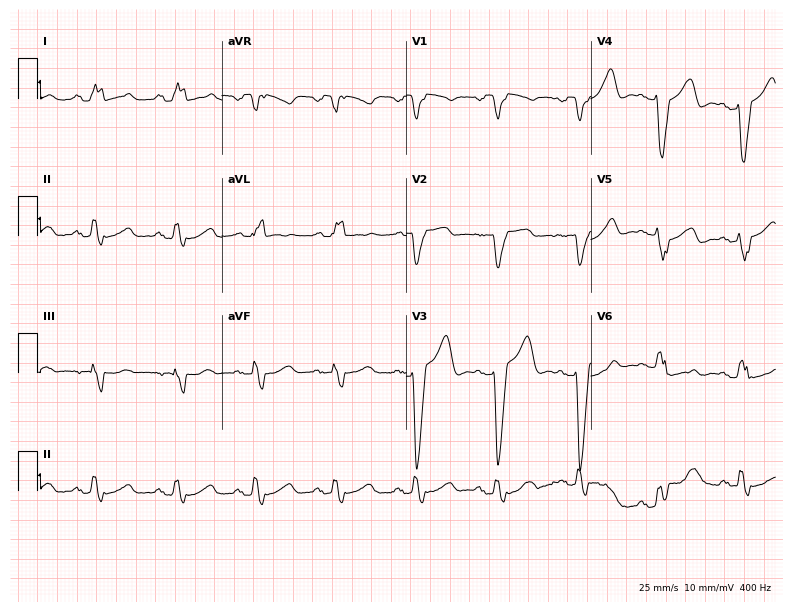
Electrocardiogram (7.5-second recording at 400 Hz), a 33-year-old female. Interpretation includes left bundle branch block.